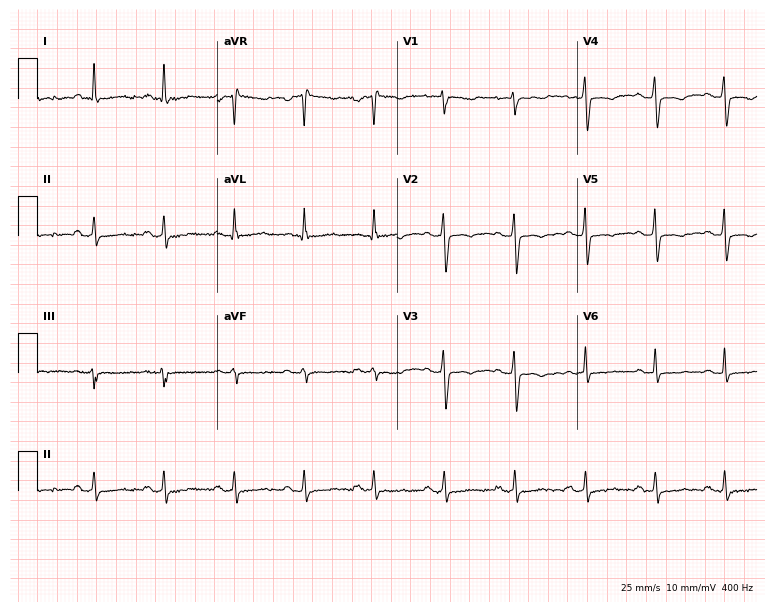
Standard 12-lead ECG recorded from a female patient, 38 years old (7.3-second recording at 400 Hz). Read as a normal ECG.